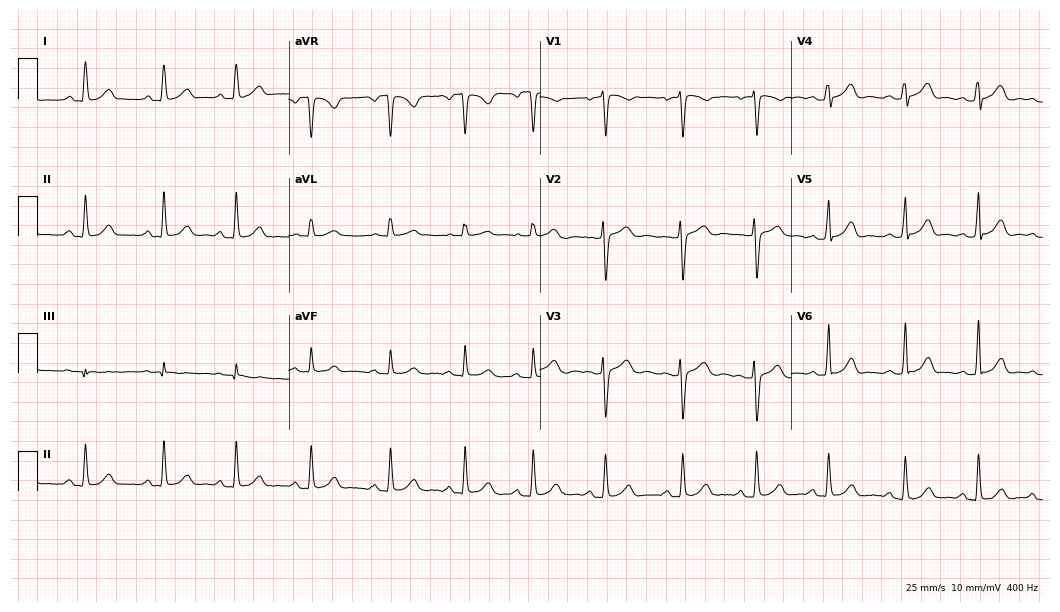
12-lead ECG from a 29-year-old female patient. Labelled as a normal ECG.